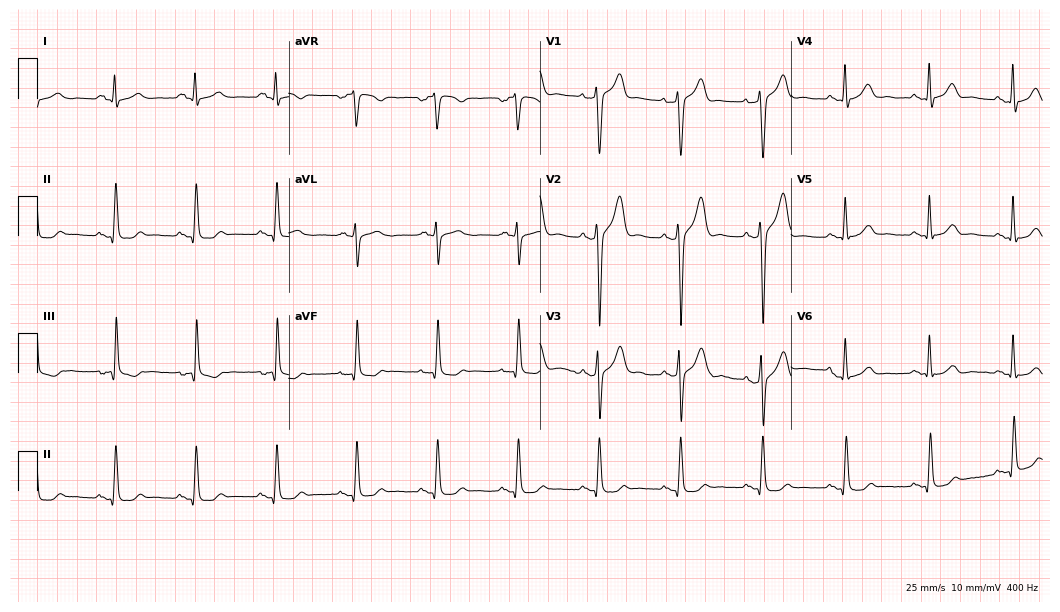
ECG — a male, 63 years old. Screened for six findings — first-degree AV block, right bundle branch block, left bundle branch block, sinus bradycardia, atrial fibrillation, sinus tachycardia — none is recorded. Only these six findings were labelled.